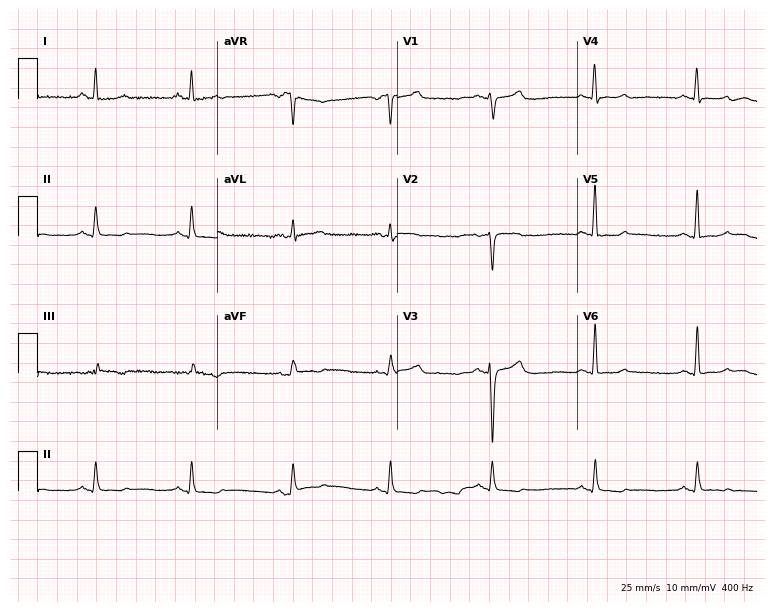
Electrocardiogram (7.3-second recording at 400 Hz), a 51-year-old female patient. Of the six screened findings (first-degree AV block, right bundle branch block (RBBB), left bundle branch block (LBBB), sinus bradycardia, atrial fibrillation (AF), sinus tachycardia), none is recorded.